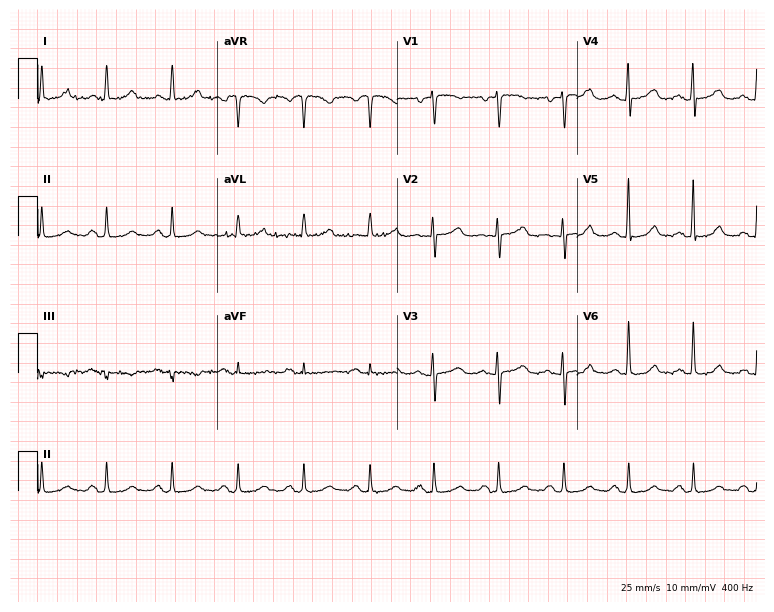
Electrocardiogram (7.3-second recording at 400 Hz), a 65-year-old female patient. Overall reading on record: normal ECG.